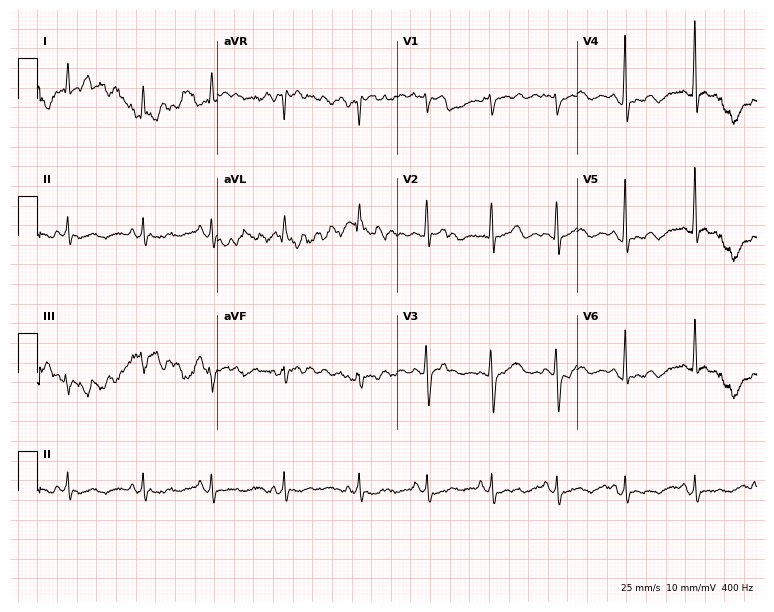
Electrocardiogram (7.3-second recording at 400 Hz), a 52-year-old female. Of the six screened findings (first-degree AV block, right bundle branch block, left bundle branch block, sinus bradycardia, atrial fibrillation, sinus tachycardia), none is recorded.